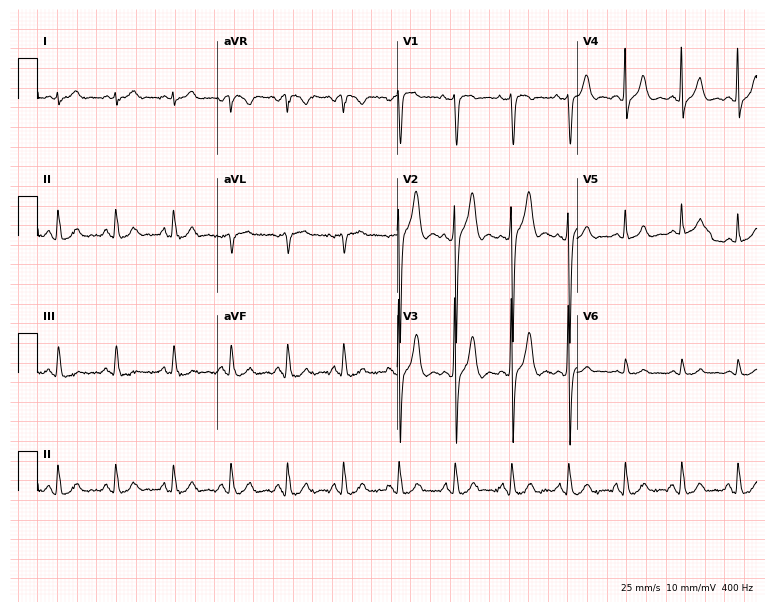
12-lead ECG (7.3-second recording at 400 Hz) from a 50-year-old man. Screened for six findings — first-degree AV block, right bundle branch block, left bundle branch block, sinus bradycardia, atrial fibrillation, sinus tachycardia — none is recorded.